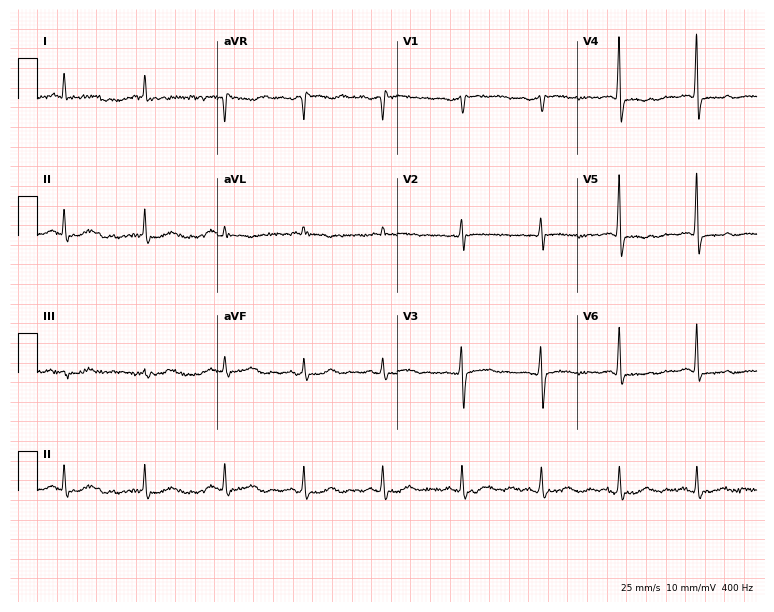
Resting 12-lead electrocardiogram. Patient: a male, 69 years old. None of these six findings is recorded: first-degree AV block, right bundle branch block, left bundle branch block, sinus bradycardia, atrial fibrillation, sinus tachycardia. Only these six findings were labelled.